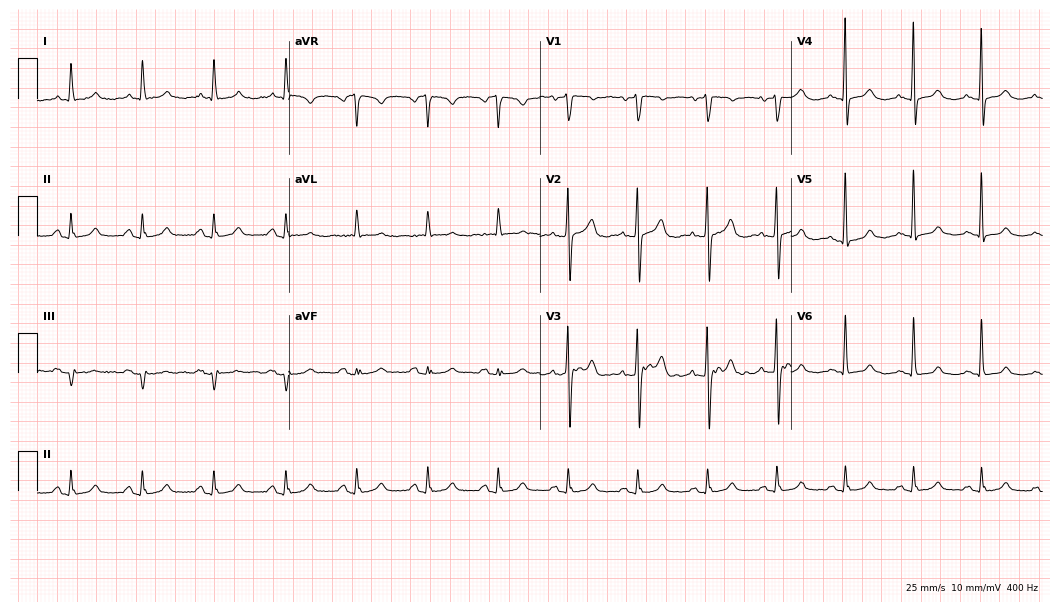
12-lead ECG from a female patient, 78 years old. No first-degree AV block, right bundle branch block, left bundle branch block, sinus bradycardia, atrial fibrillation or sinus tachycardia recorded for this tracing.